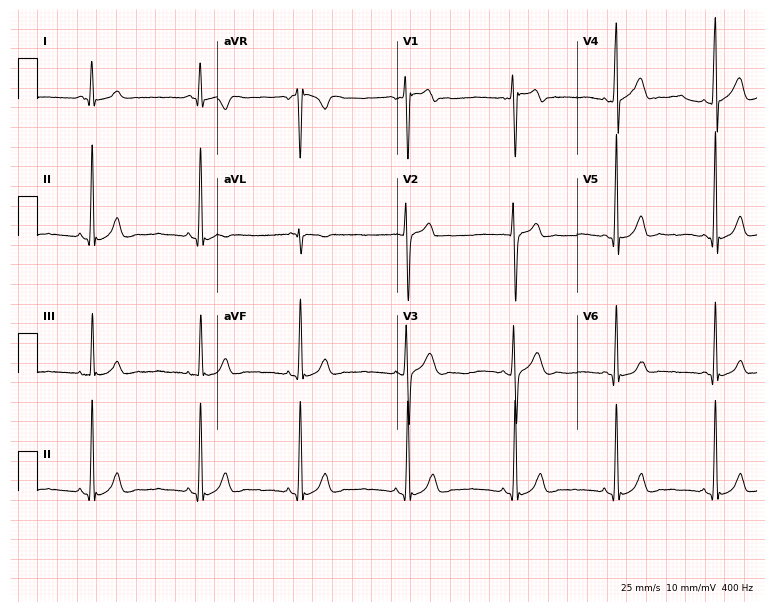
Resting 12-lead electrocardiogram. Patient: a 22-year-old male. Read as a normal ECG.